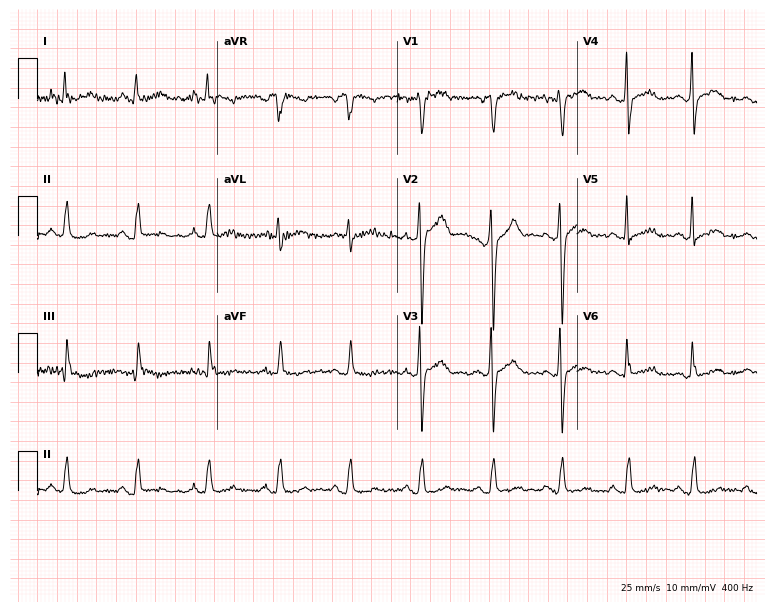
12-lead ECG from a male, 37 years old. Screened for six findings — first-degree AV block, right bundle branch block (RBBB), left bundle branch block (LBBB), sinus bradycardia, atrial fibrillation (AF), sinus tachycardia — none is recorded.